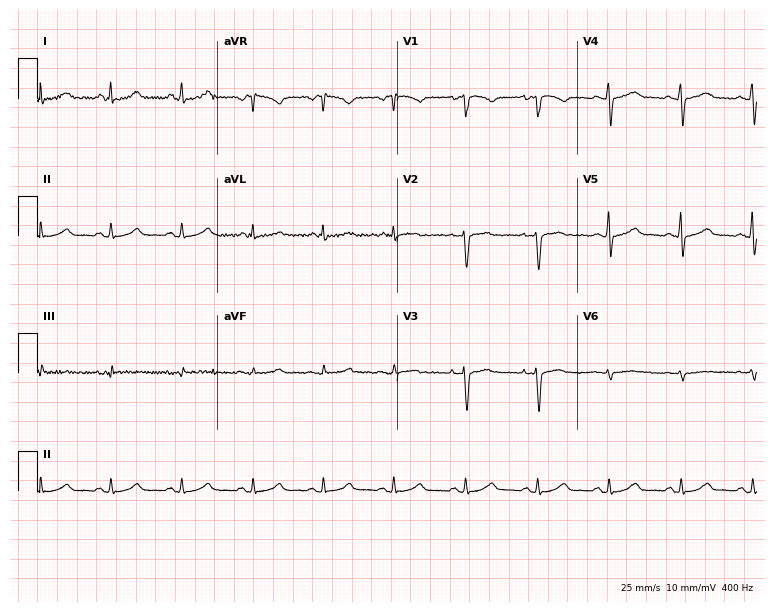
Resting 12-lead electrocardiogram. Patient: a 41-year-old female. Read as a normal ECG.